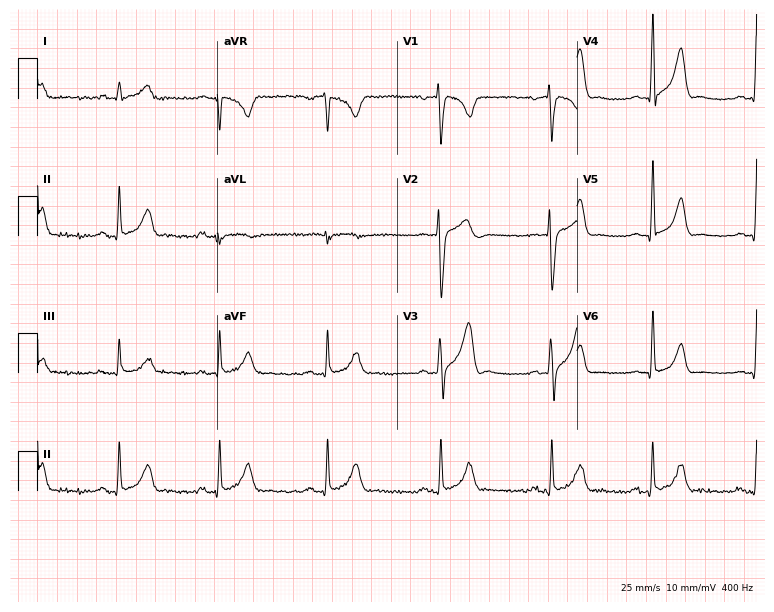
12-lead ECG (7.3-second recording at 400 Hz) from a 33-year-old male. Screened for six findings — first-degree AV block, right bundle branch block, left bundle branch block, sinus bradycardia, atrial fibrillation, sinus tachycardia — none is recorded.